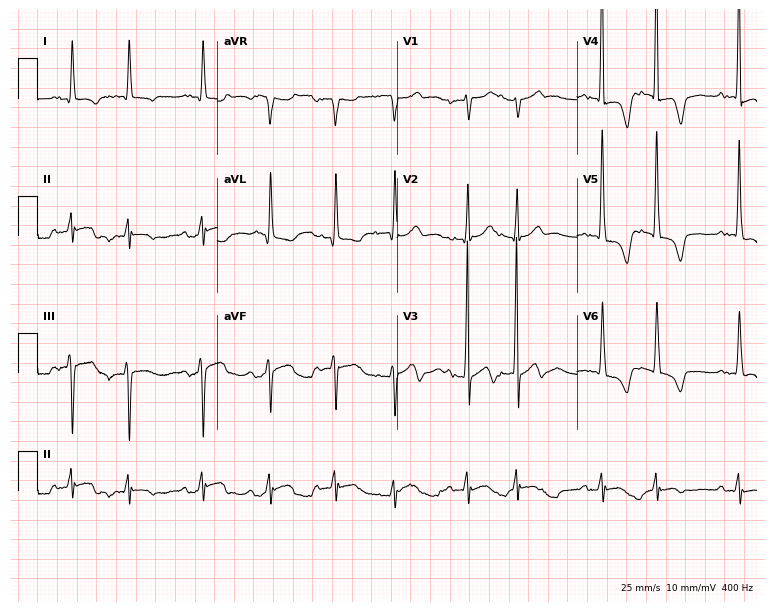
Standard 12-lead ECG recorded from a 62-year-old male patient. None of these six findings is recorded: first-degree AV block, right bundle branch block (RBBB), left bundle branch block (LBBB), sinus bradycardia, atrial fibrillation (AF), sinus tachycardia. Findings outside these six are not listed.